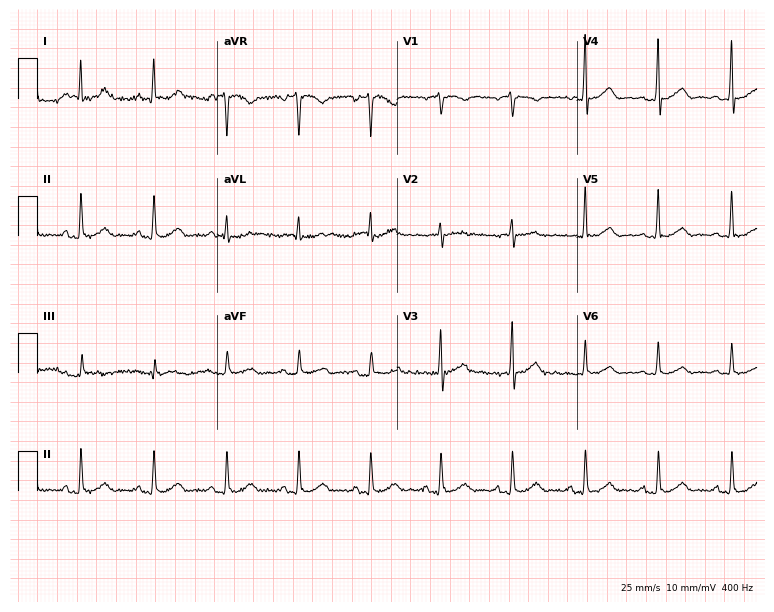
ECG (7.3-second recording at 400 Hz) — a 59-year-old woman. Screened for six findings — first-degree AV block, right bundle branch block (RBBB), left bundle branch block (LBBB), sinus bradycardia, atrial fibrillation (AF), sinus tachycardia — none is recorded.